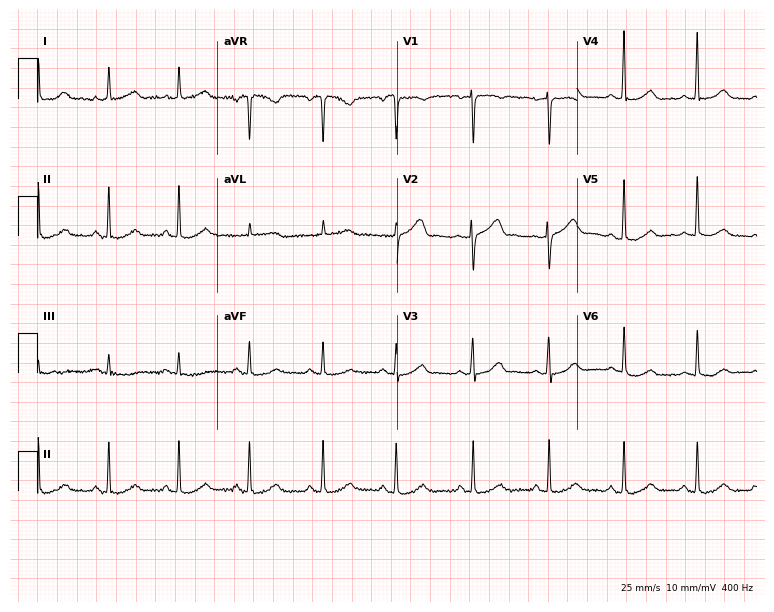
Resting 12-lead electrocardiogram (7.3-second recording at 400 Hz). Patient: a 49-year-old woman. Read as a normal ECG.